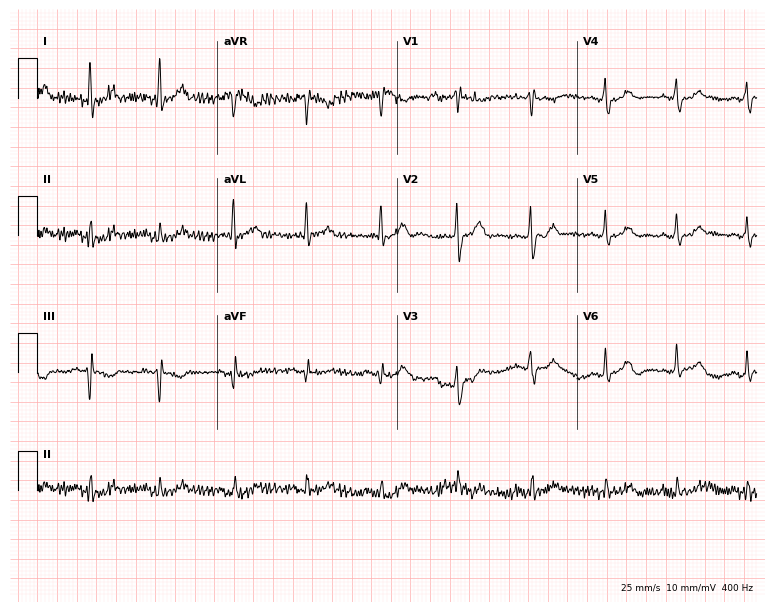
12-lead ECG (7.3-second recording at 400 Hz) from a woman, 50 years old. Screened for six findings — first-degree AV block, right bundle branch block, left bundle branch block, sinus bradycardia, atrial fibrillation, sinus tachycardia — none is recorded.